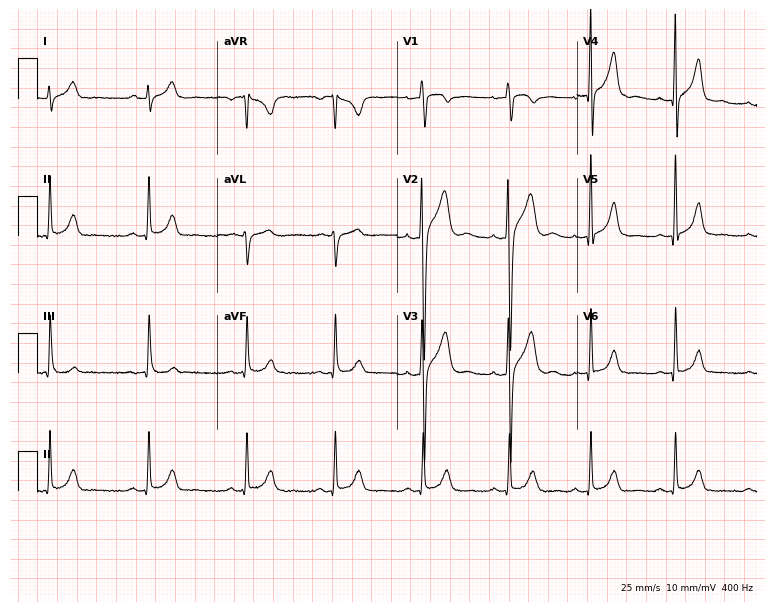
12-lead ECG from a male, 34 years old. No first-degree AV block, right bundle branch block (RBBB), left bundle branch block (LBBB), sinus bradycardia, atrial fibrillation (AF) or sinus tachycardia recorded for this tracing. Other findings, if any, are not listed.